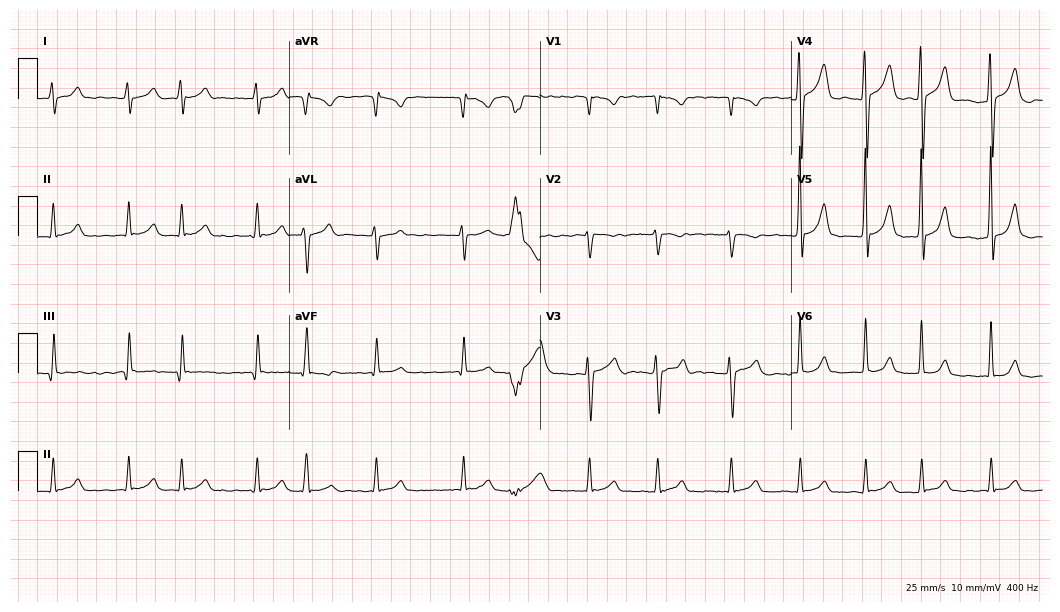
Standard 12-lead ECG recorded from a 50-year-old man. The tracing shows atrial fibrillation (AF).